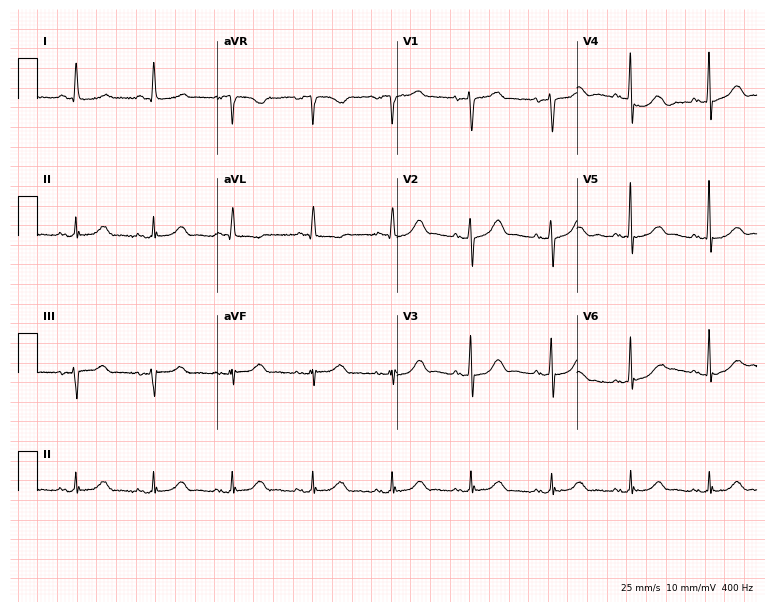
Resting 12-lead electrocardiogram (7.3-second recording at 400 Hz). Patient: a female, 81 years old. Read as a normal ECG.